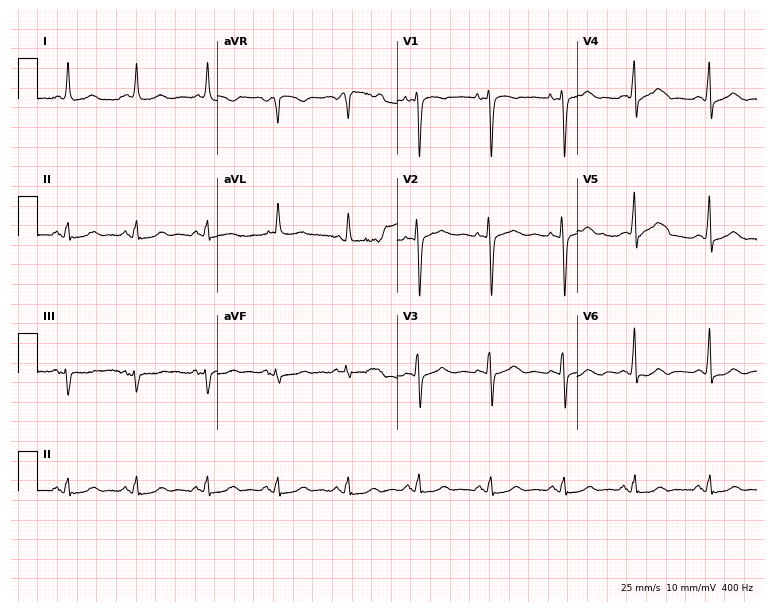
Standard 12-lead ECG recorded from a 74-year-old woman (7.3-second recording at 400 Hz). None of these six findings is recorded: first-degree AV block, right bundle branch block, left bundle branch block, sinus bradycardia, atrial fibrillation, sinus tachycardia.